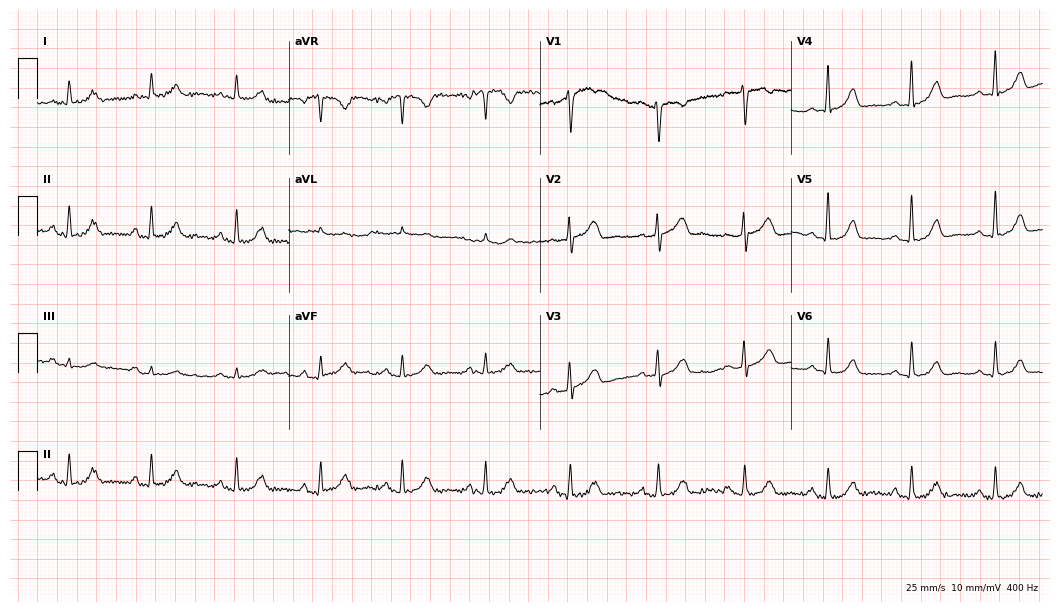
12-lead ECG from a man, 64 years old (10.2-second recording at 400 Hz). Recorded interpretation: within normal limits.